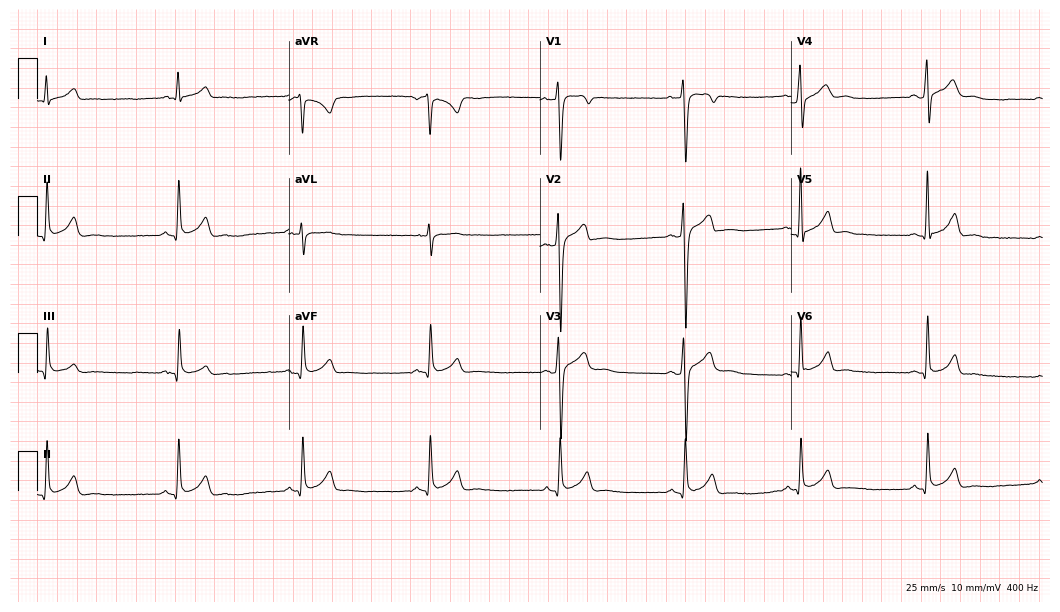
Standard 12-lead ECG recorded from a 24-year-old male patient. Read as a normal ECG.